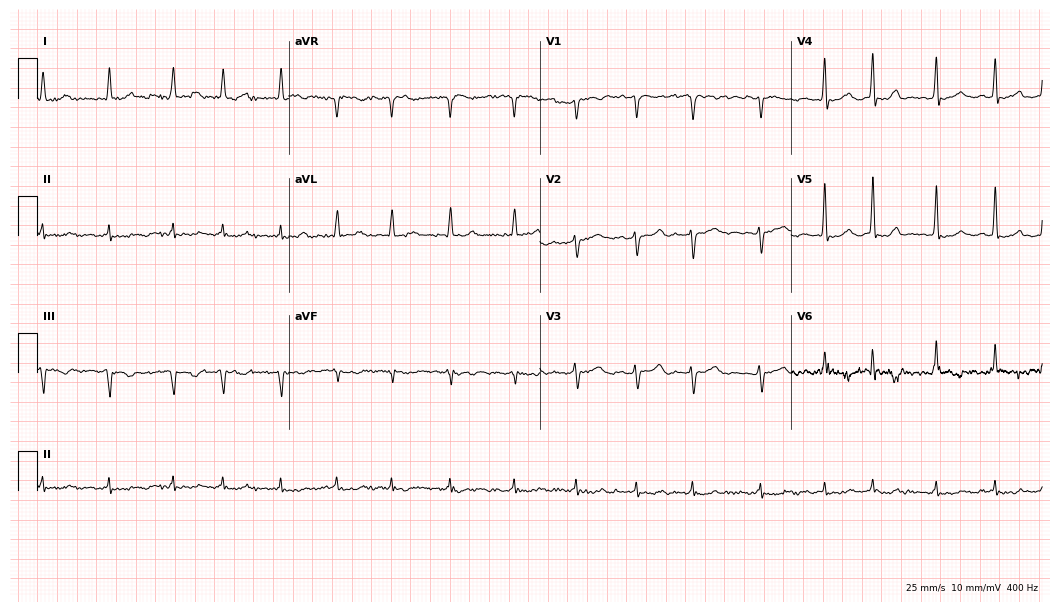
Electrocardiogram (10.2-second recording at 400 Hz), a woman, 79 years old. Of the six screened findings (first-degree AV block, right bundle branch block, left bundle branch block, sinus bradycardia, atrial fibrillation, sinus tachycardia), none is recorded.